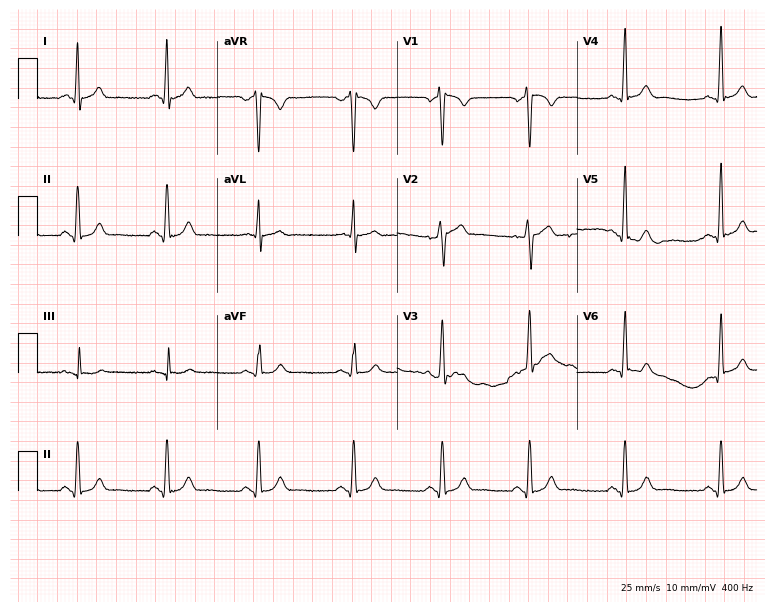
Electrocardiogram (7.3-second recording at 400 Hz), a man, 34 years old. Overall reading on record: normal ECG.